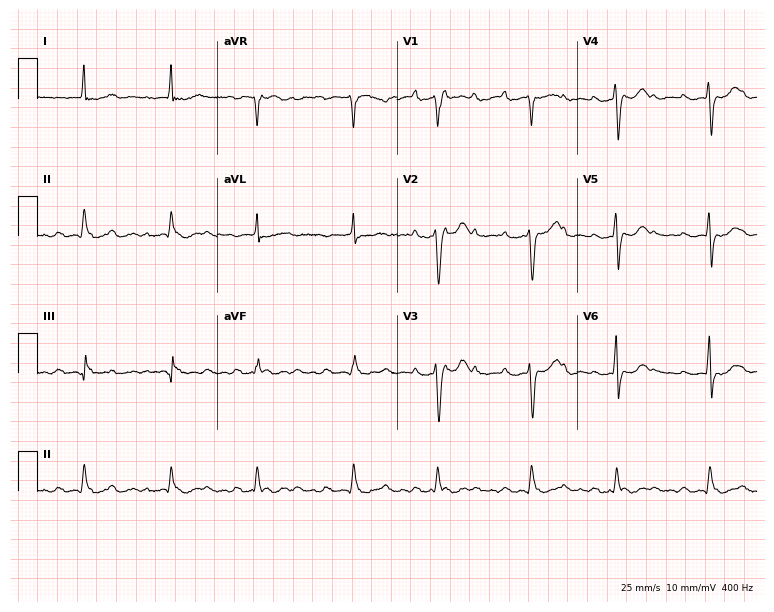
ECG (7.3-second recording at 400 Hz) — a male, 75 years old. Screened for six findings — first-degree AV block, right bundle branch block, left bundle branch block, sinus bradycardia, atrial fibrillation, sinus tachycardia — none is recorded.